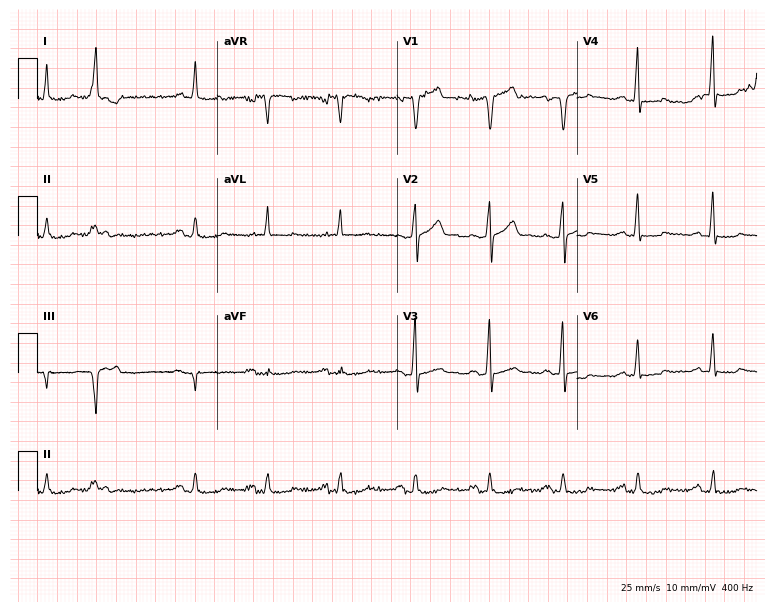
Electrocardiogram (7.3-second recording at 400 Hz), a male patient, 63 years old. Of the six screened findings (first-degree AV block, right bundle branch block, left bundle branch block, sinus bradycardia, atrial fibrillation, sinus tachycardia), none is recorded. Other findings, if any, are not listed.